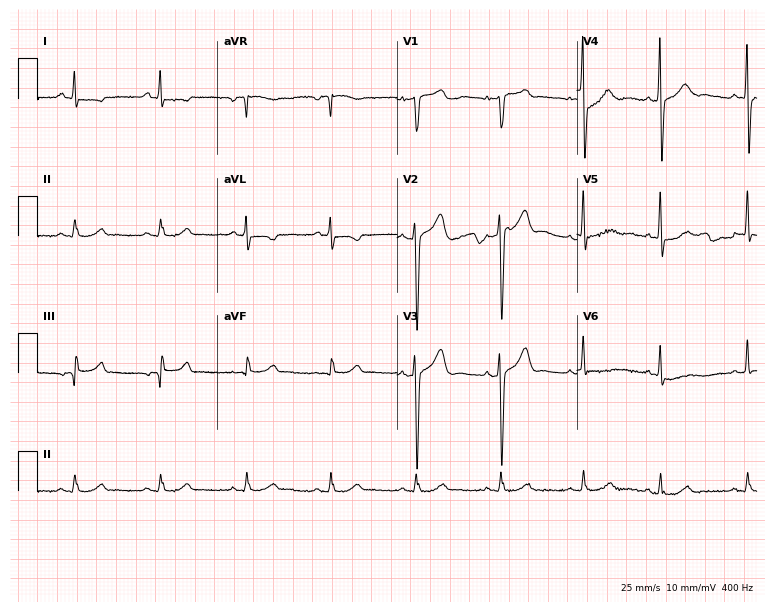
Resting 12-lead electrocardiogram. Patient: a 65-year-old male. Read as a normal ECG.